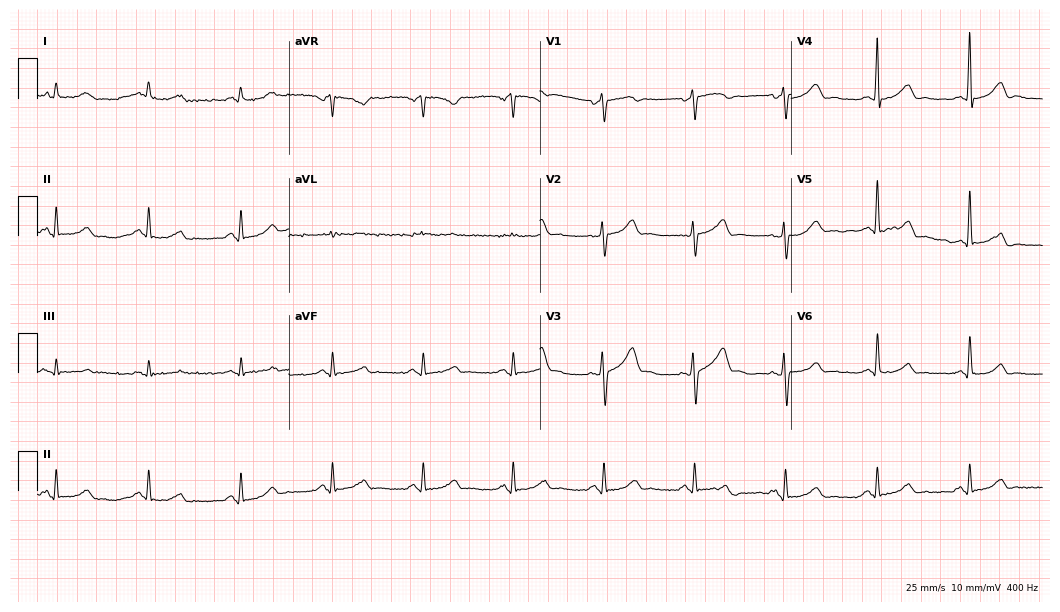
Standard 12-lead ECG recorded from a 61-year-old male (10.2-second recording at 400 Hz). None of these six findings is recorded: first-degree AV block, right bundle branch block, left bundle branch block, sinus bradycardia, atrial fibrillation, sinus tachycardia.